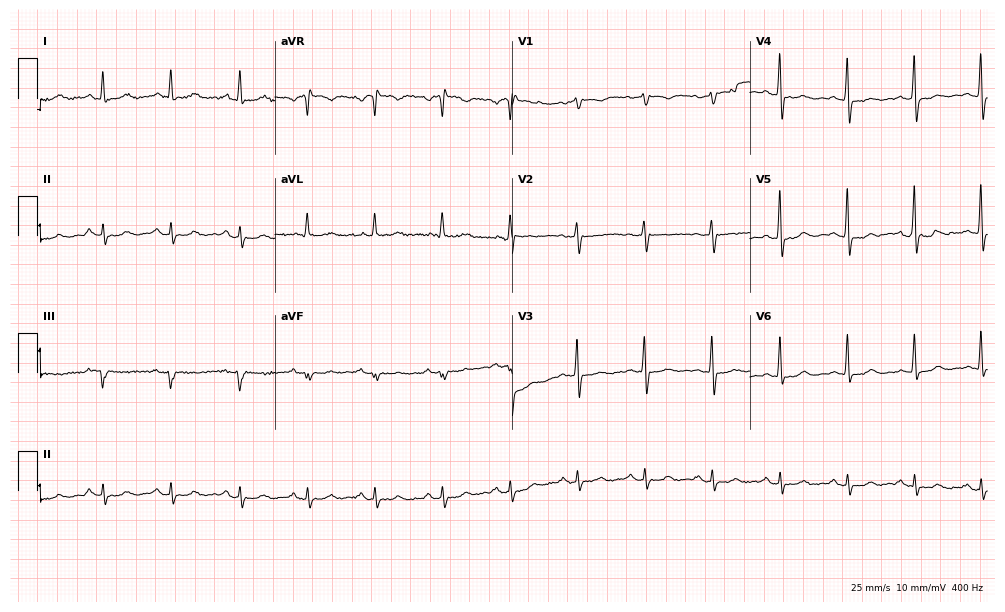
ECG (9.7-second recording at 400 Hz) — a female patient, 58 years old. Screened for six findings — first-degree AV block, right bundle branch block, left bundle branch block, sinus bradycardia, atrial fibrillation, sinus tachycardia — none is recorded. Other findings, if any, are not listed.